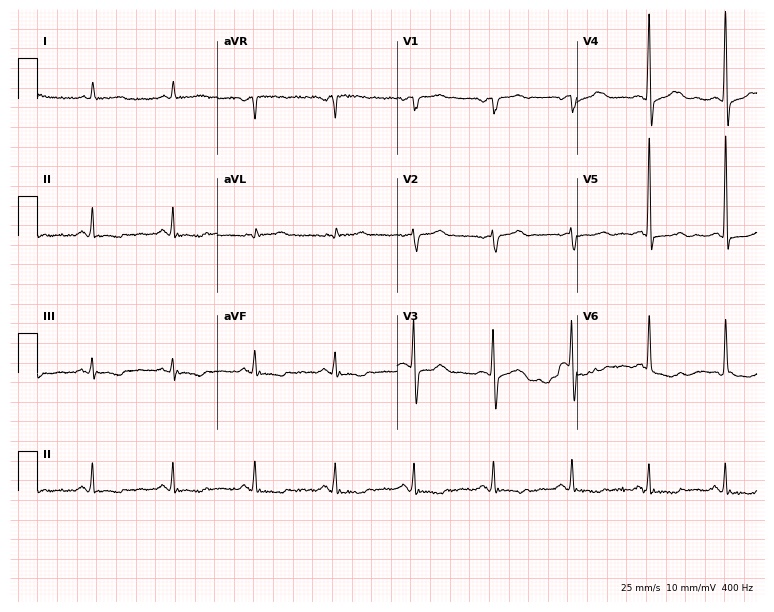
ECG — a 74-year-old male. Screened for six findings — first-degree AV block, right bundle branch block (RBBB), left bundle branch block (LBBB), sinus bradycardia, atrial fibrillation (AF), sinus tachycardia — none is recorded. Findings outside these six are not listed.